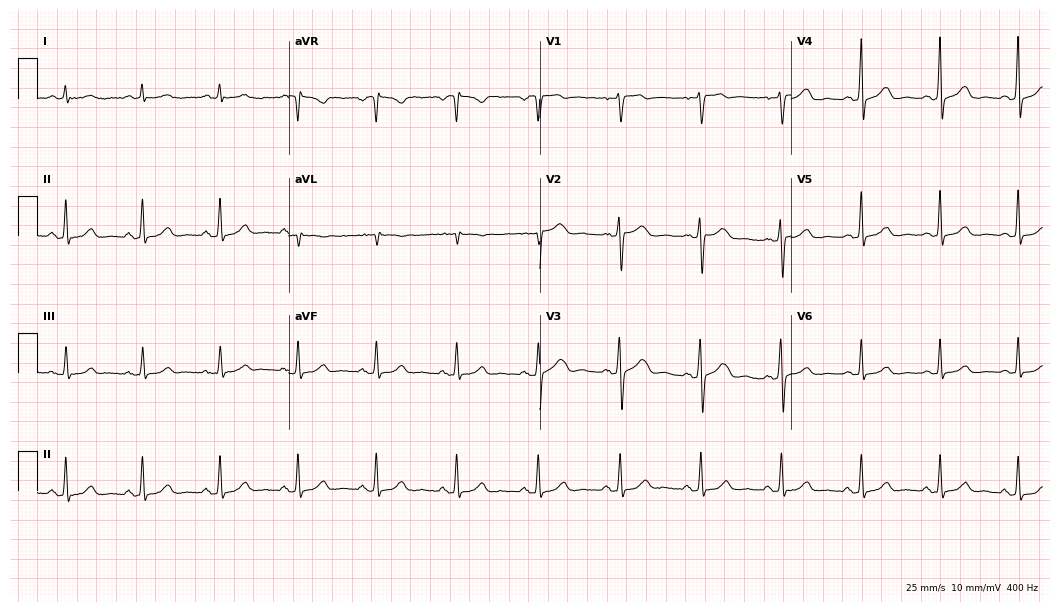
Standard 12-lead ECG recorded from a female, 45 years old (10.2-second recording at 400 Hz). Read as a normal ECG.